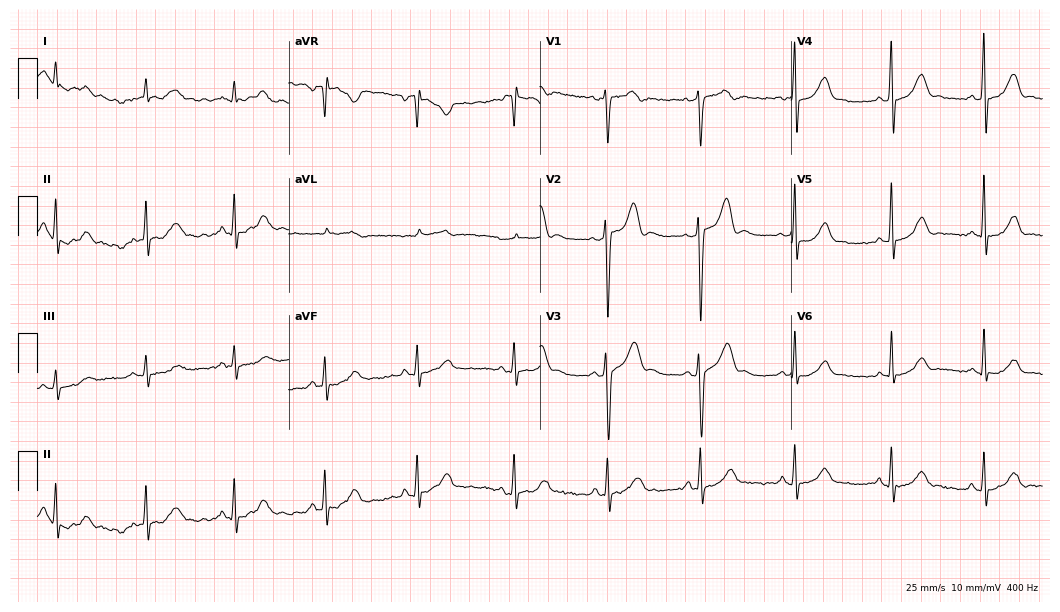
12-lead ECG from a man, 48 years old. Screened for six findings — first-degree AV block, right bundle branch block, left bundle branch block, sinus bradycardia, atrial fibrillation, sinus tachycardia — none is recorded. Findings outside these six are not listed.